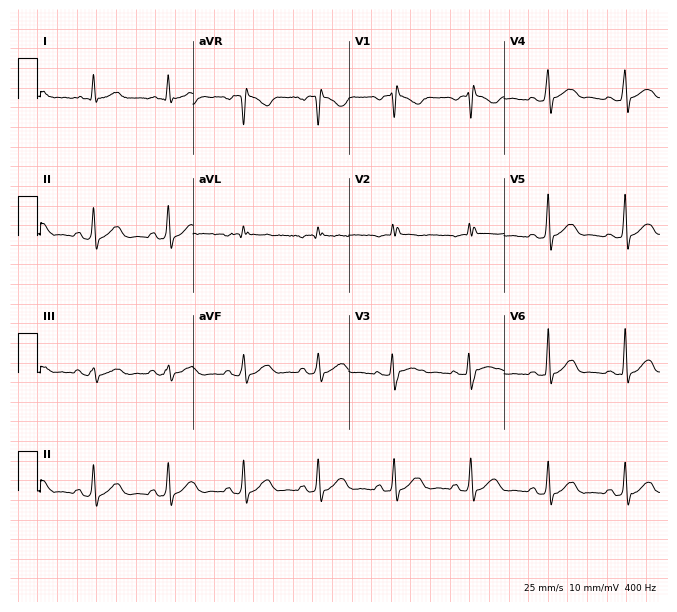
Standard 12-lead ECG recorded from a female patient, 57 years old (6.3-second recording at 400 Hz). None of these six findings is recorded: first-degree AV block, right bundle branch block (RBBB), left bundle branch block (LBBB), sinus bradycardia, atrial fibrillation (AF), sinus tachycardia.